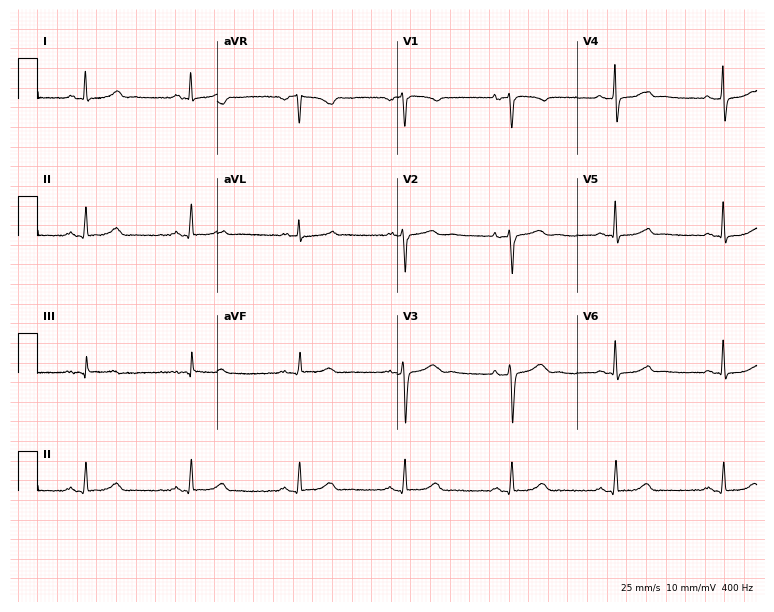
Resting 12-lead electrocardiogram (7.3-second recording at 400 Hz). Patient: a 56-year-old woman. Read as a normal ECG.